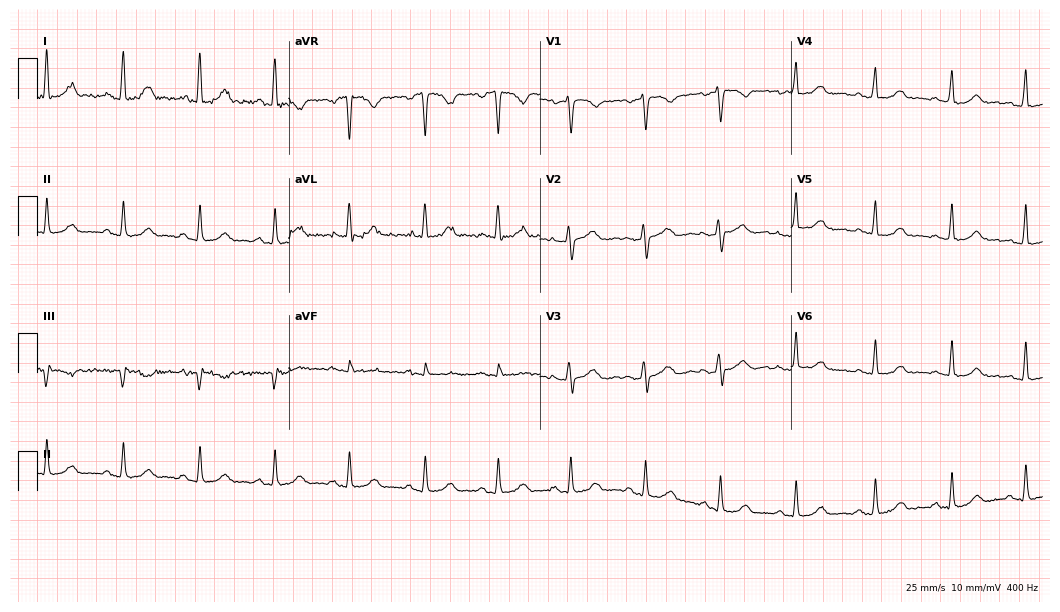
12-lead ECG from a female patient, 24 years old. Screened for six findings — first-degree AV block, right bundle branch block (RBBB), left bundle branch block (LBBB), sinus bradycardia, atrial fibrillation (AF), sinus tachycardia — none is recorded. Other findings, if any, are not listed.